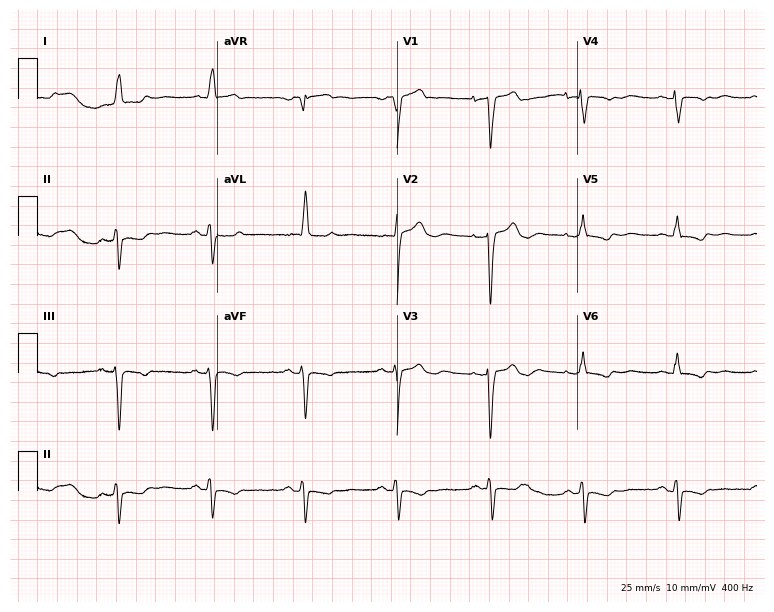
12-lead ECG from an 85-year-old woman. No first-degree AV block, right bundle branch block (RBBB), left bundle branch block (LBBB), sinus bradycardia, atrial fibrillation (AF) or sinus tachycardia recorded for this tracing.